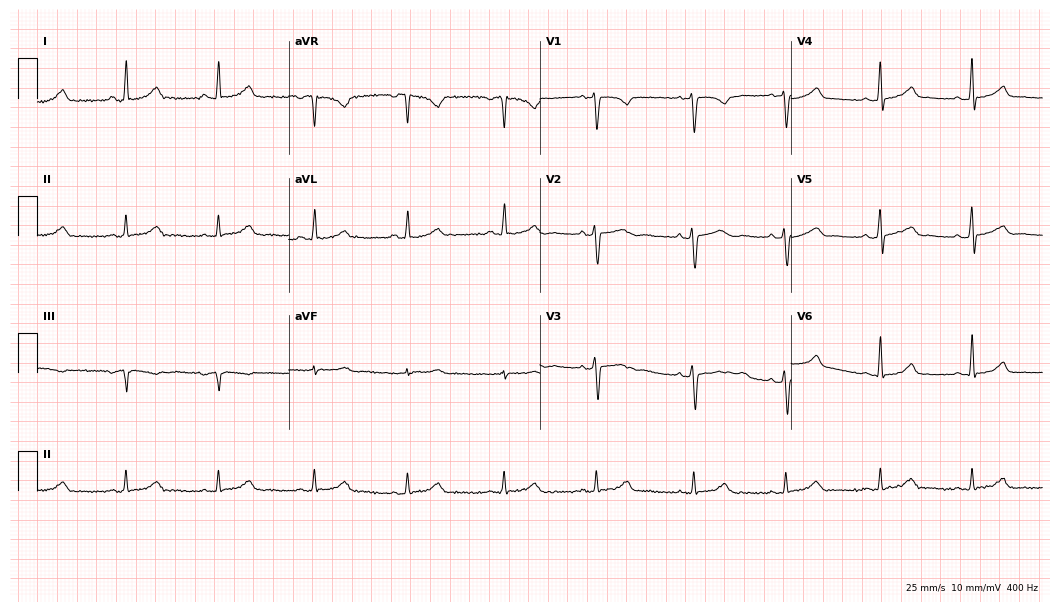
12-lead ECG from a female patient, 34 years old. Recorded interpretation: within normal limits.